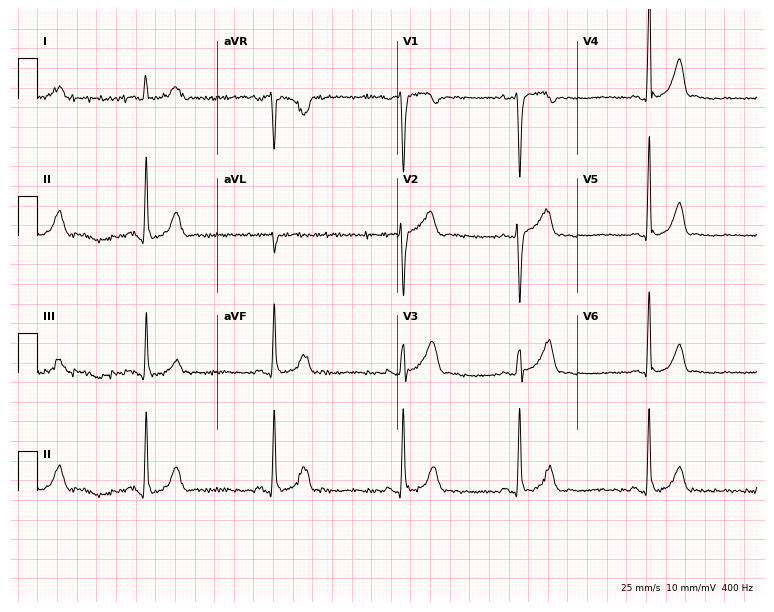
ECG (7.3-second recording at 400 Hz) — a male, 25 years old. Screened for six findings — first-degree AV block, right bundle branch block (RBBB), left bundle branch block (LBBB), sinus bradycardia, atrial fibrillation (AF), sinus tachycardia — none is recorded. Other findings, if any, are not listed.